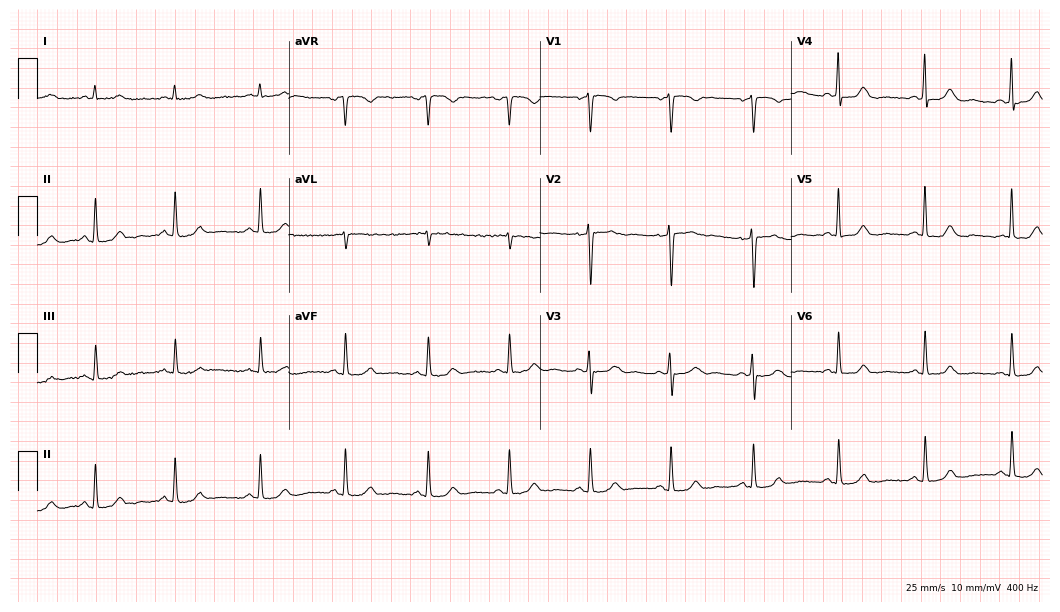
12-lead ECG from a woman, 55 years old. Recorded interpretation: within normal limits.